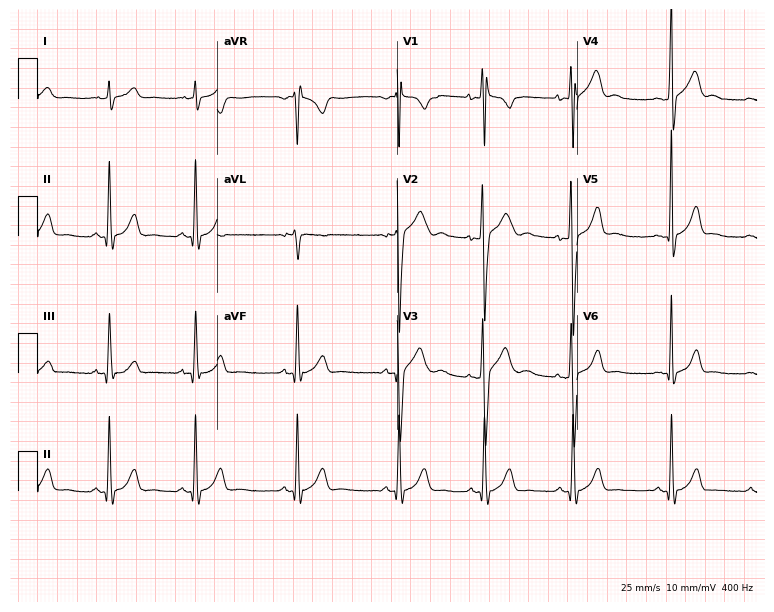
Resting 12-lead electrocardiogram (7.3-second recording at 400 Hz). Patient: a 17-year-old man. Read as a normal ECG.